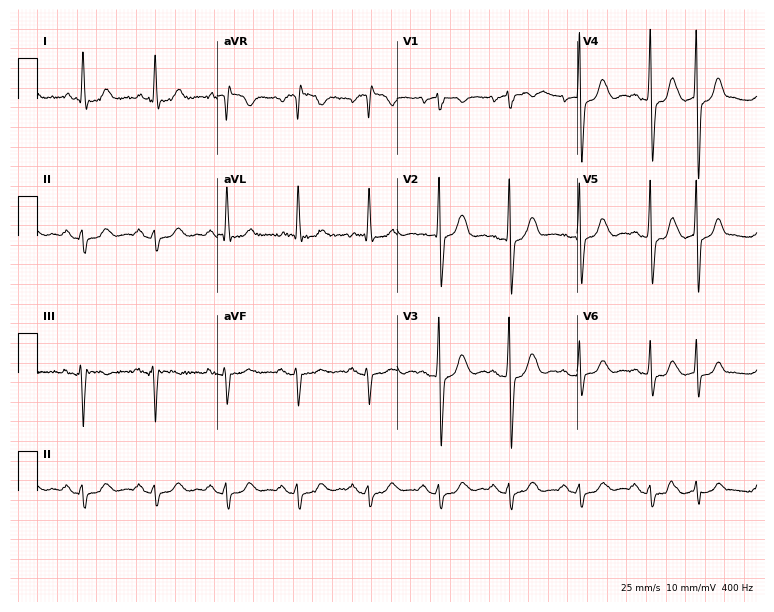
12-lead ECG (7.3-second recording at 400 Hz) from an 81-year-old man. Screened for six findings — first-degree AV block, right bundle branch block (RBBB), left bundle branch block (LBBB), sinus bradycardia, atrial fibrillation (AF), sinus tachycardia — none is recorded. Only these six findings were labelled.